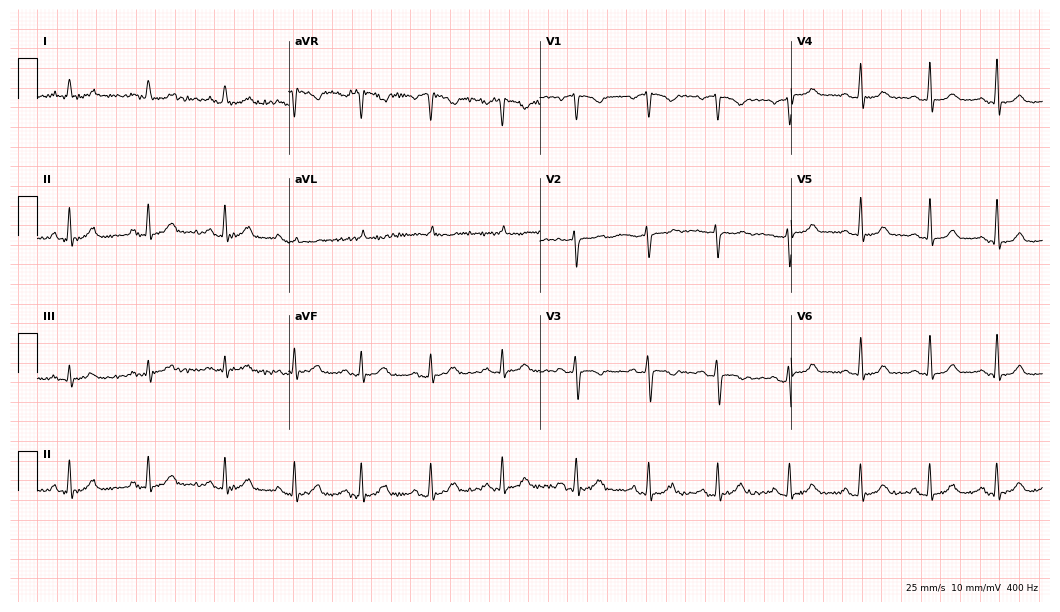
Standard 12-lead ECG recorded from a 24-year-old woman (10.2-second recording at 400 Hz). Read as a normal ECG.